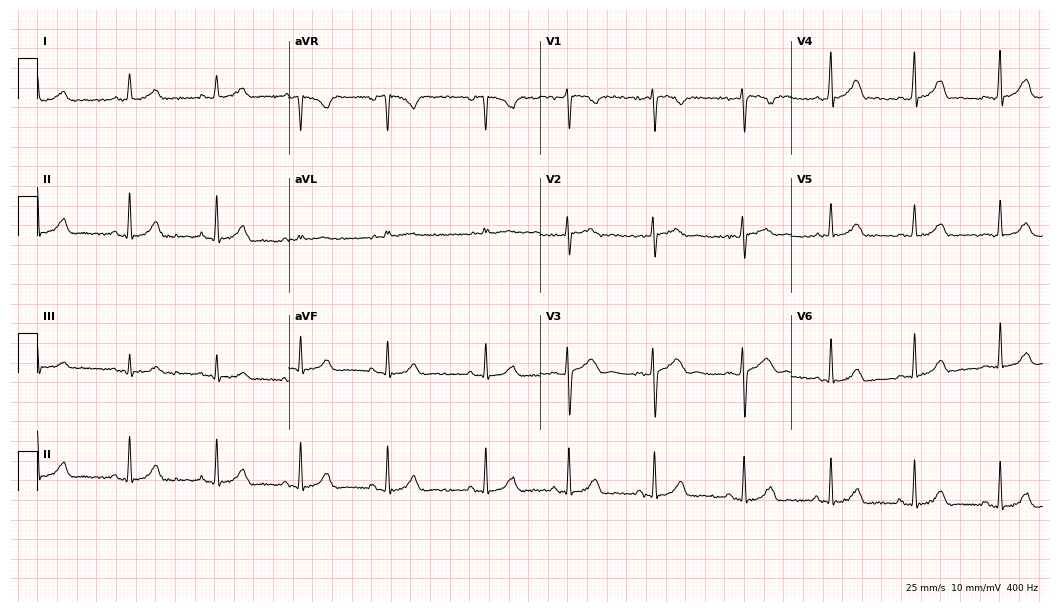
Electrocardiogram (10.2-second recording at 400 Hz), a female patient, 36 years old. Of the six screened findings (first-degree AV block, right bundle branch block (RBBB), left bundle branch block (LBBB), sinus bradycardia, atrial fibrillation (AF), sinus tachycardia), none is recorded.